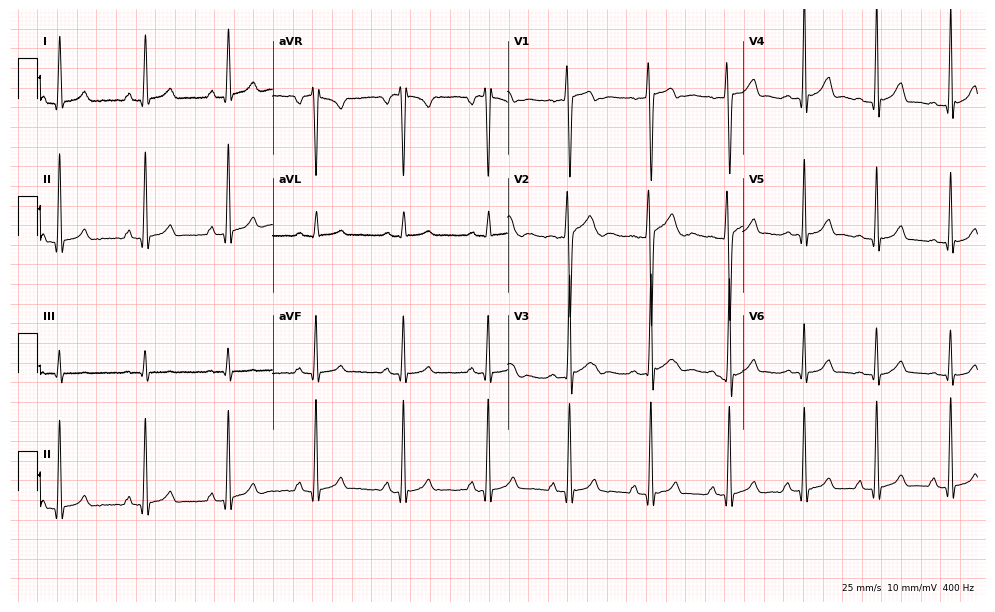
ECG — a male, 21 years old. Labelled as a normal ECG.